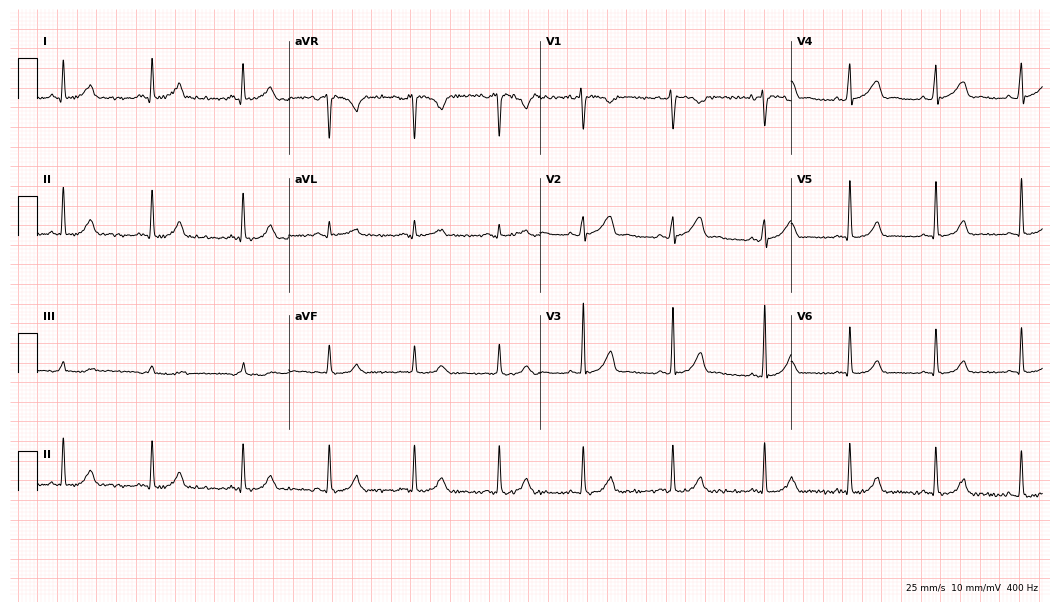
Electrocardiogram, a female patient, 36 years old. Overall reading on record: normal ECG.